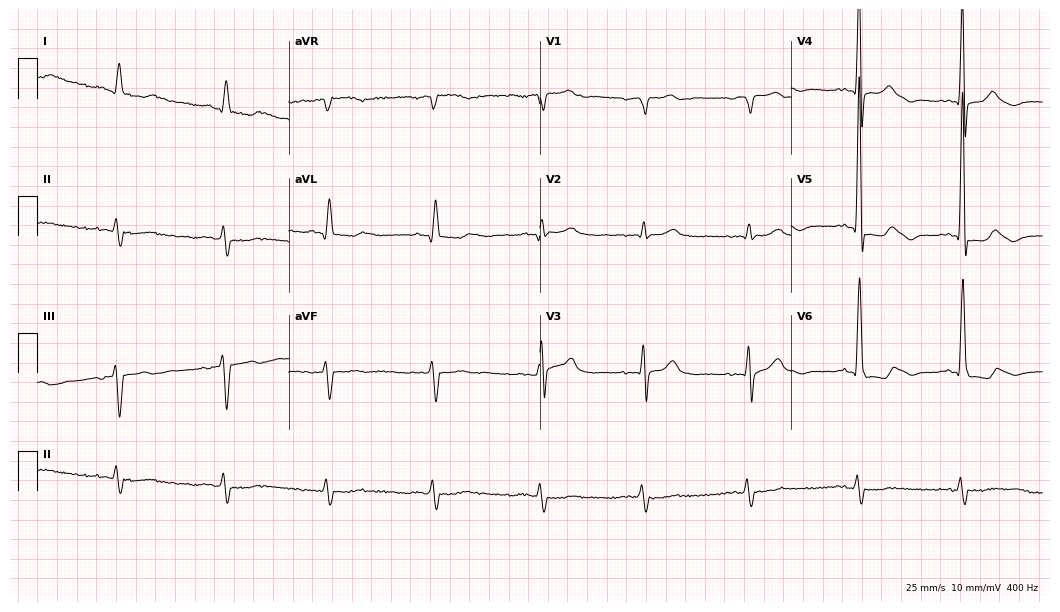
12-lead ECG from a male patient, 81 years old. Screened for six findings — first-degree AV block, right bundle branch block, left bundle branch block, sinus bradycardia, atrial fibrillation, sinus tachycardia — none is recorded. Other findings, if any, are not listed.